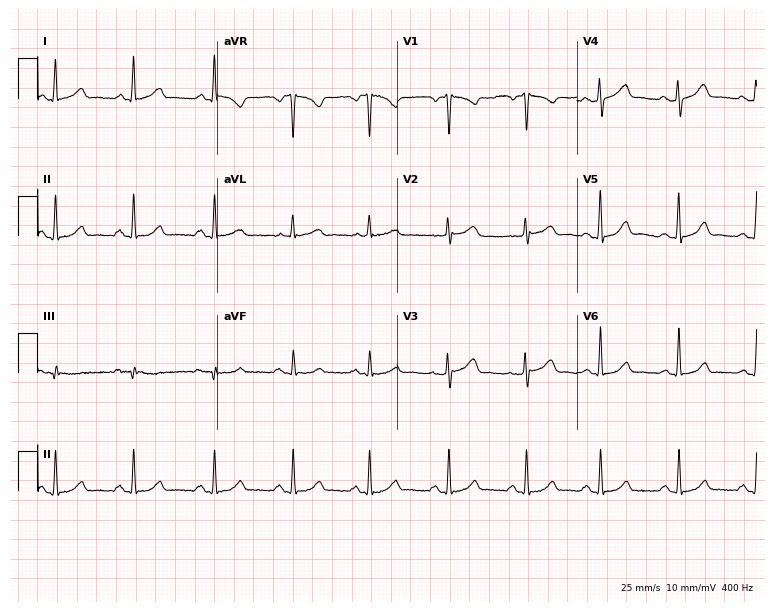
Resting 12-lead electrocardiogram. Patient: a female, 49 years old. Read as a normal ECG.